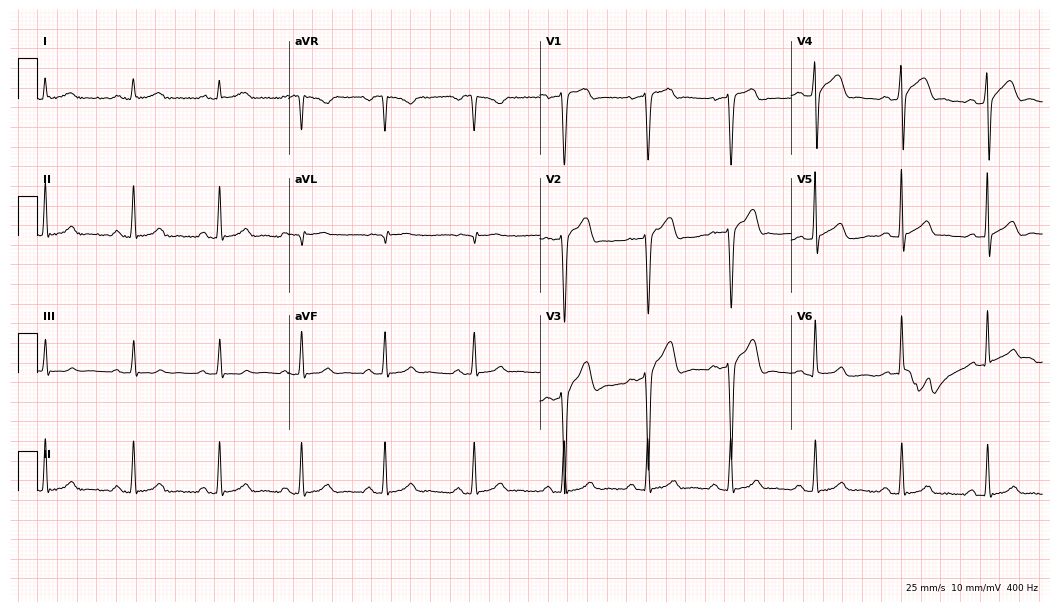
12-lead ECG from a 47-year-old man. No first-degree AV block, right bundle branch block, left bundle branch block, sinus bradycardia, atrial fibrillation or sinus tachycardia recorded for this tracing.